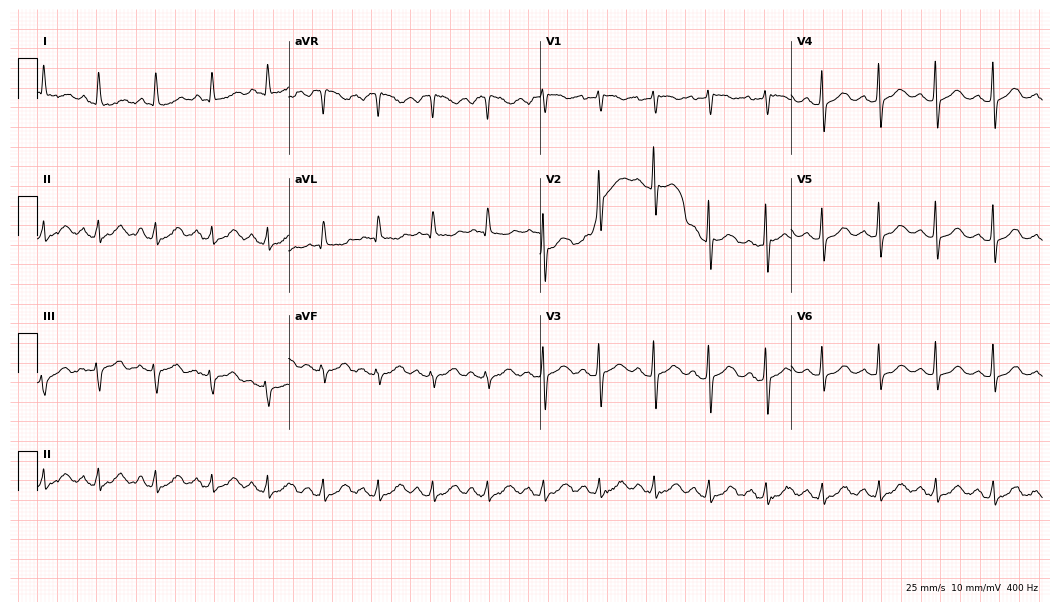
12-lead ECG (10.2-second recording at 400 Hz) from a 58-year-old woman. Findings include sinus tachycardia (a sinus rate of 100 beats per minute or more).